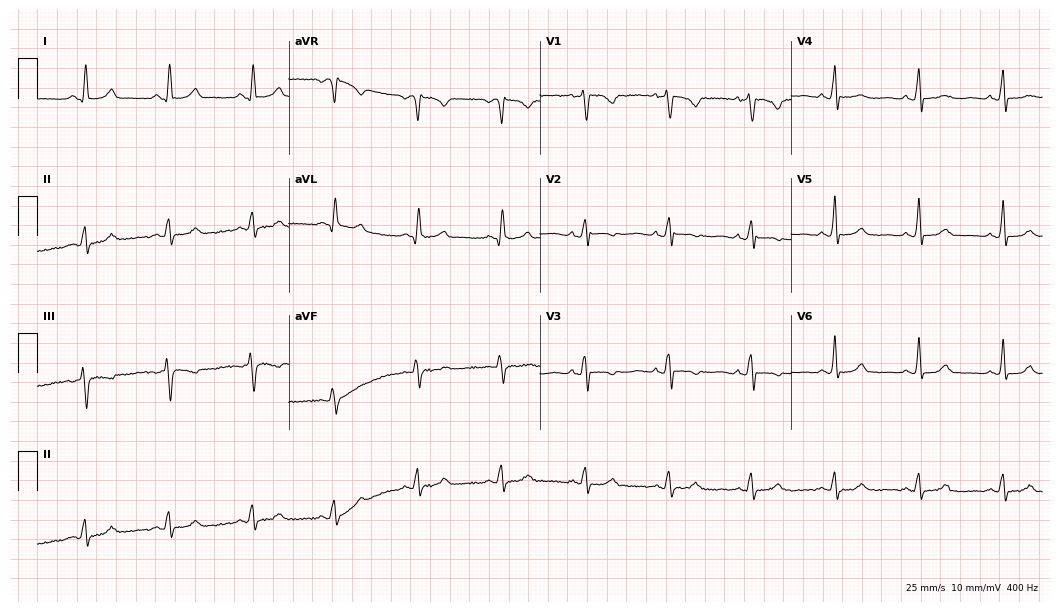
12-lead ECG (10.2-second recording at 400 Hz) from a woman, 51 years old. Screened for six findings — first-degree AV block, right bundle branch block, left bundle branch block, sinus bradycardia, atrial fibrillation, sinus tachycardia — none is recorded.